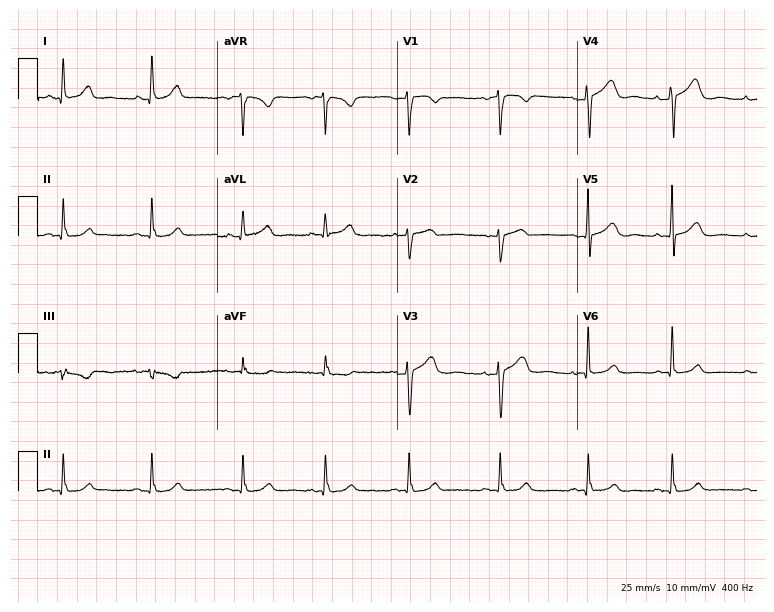
Electrocardiogram, a female patient, 44 years old. Overall reading on record: normal ECG.